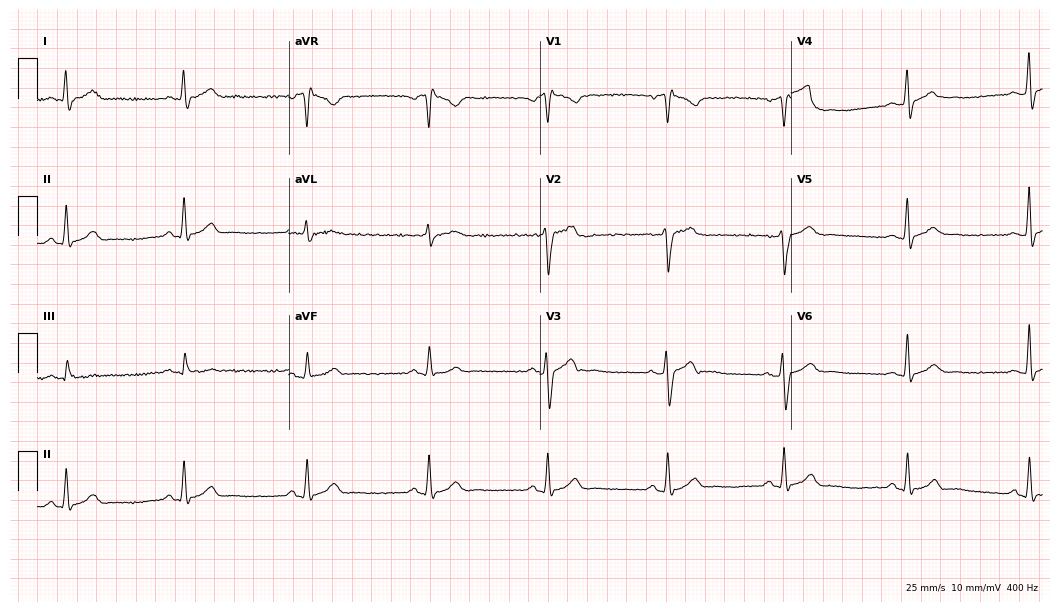
12-lead ECG (10.2-second recording at 400 Hz) from a male patient, 29 years old. Screened for six findings — first-degree AV block, right bundle branch block, left bundle branch block, sinus bradycardia, atrial fibrillation, sinus tachycardia — none is recorded. Only these six findings were labelled.